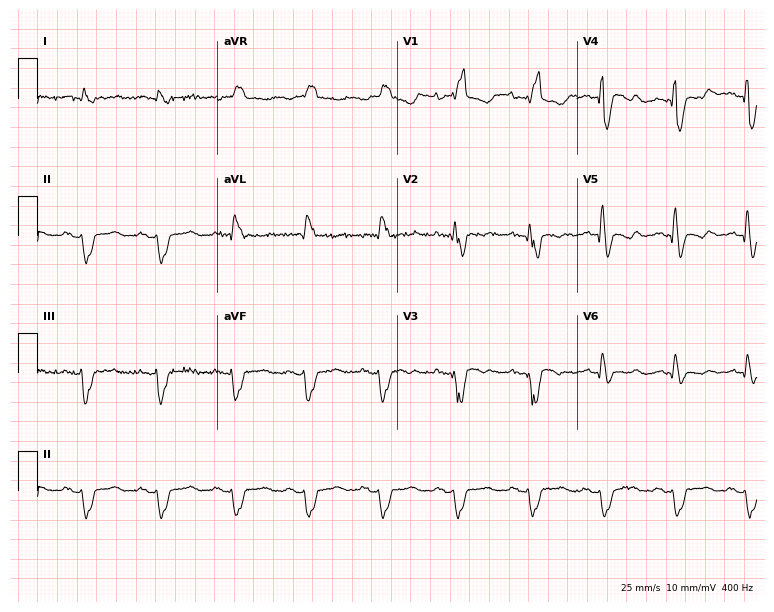
ECG — a 54-year-old male. Findings include right bundle branch block.